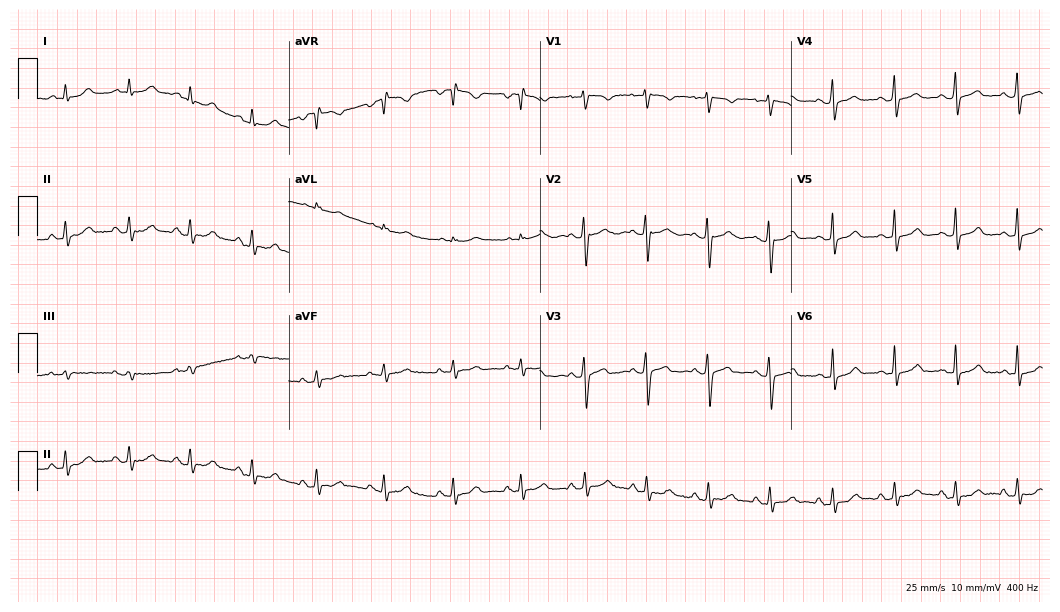
12-lead ECG from a woman, 24 years old (10.2-second recording at 400 Hz). Recorded interpretation: within normal limits.